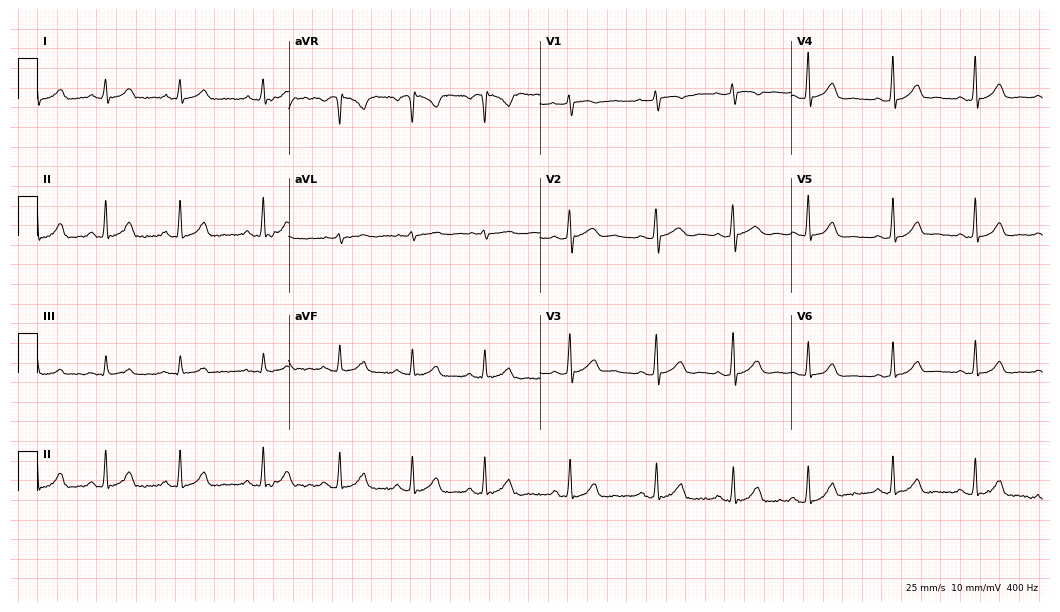
Standard 12-lead ECG recorded from a female, 17 years old (10.2-second recording at 400 Hz). None of these six findings is recorded: first-degree AV block, right bundle branch block, left bundle branch block, sinus bradycardia, atrial fibrillation, sinus tachycardia.